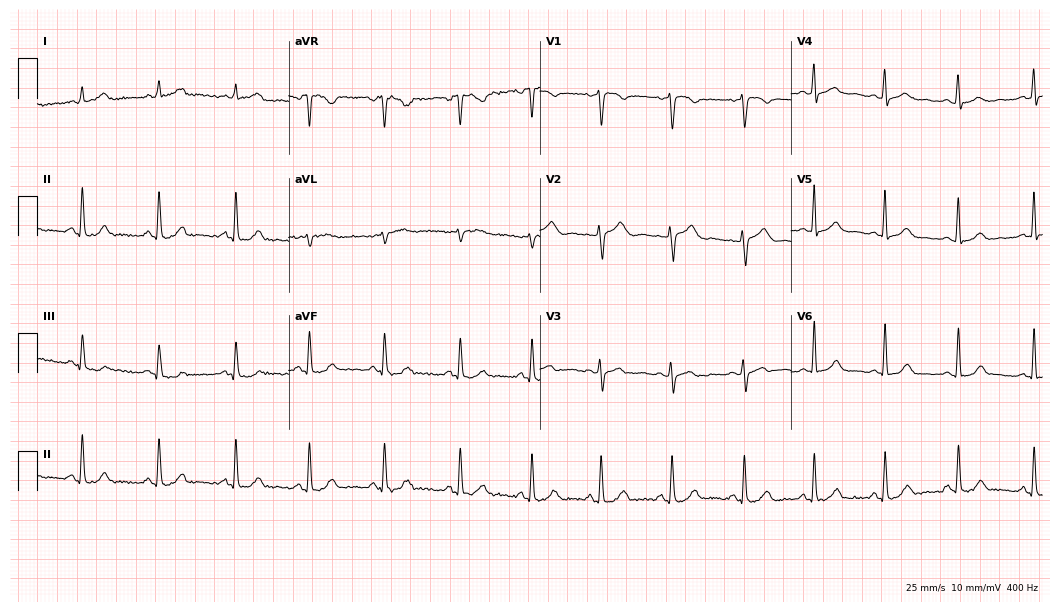
Resting 12-lead electrocardiogram. Patient: a female, 38 years old. Read as a normal ECG.